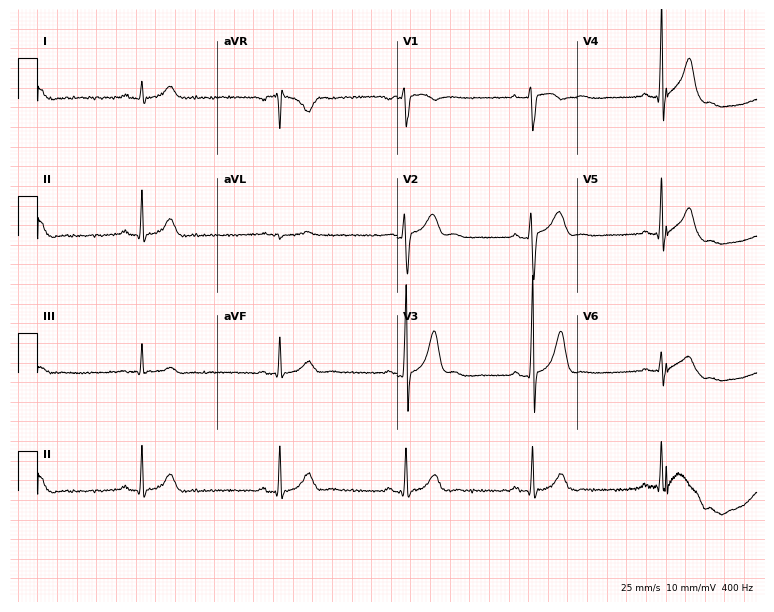
Electrocardiogram (7.3-second recording at 400 Hz), a 33-year-old male patient. Interpretation includes sinus bradycardia (a sinus rate of 50 beats per minute or less).